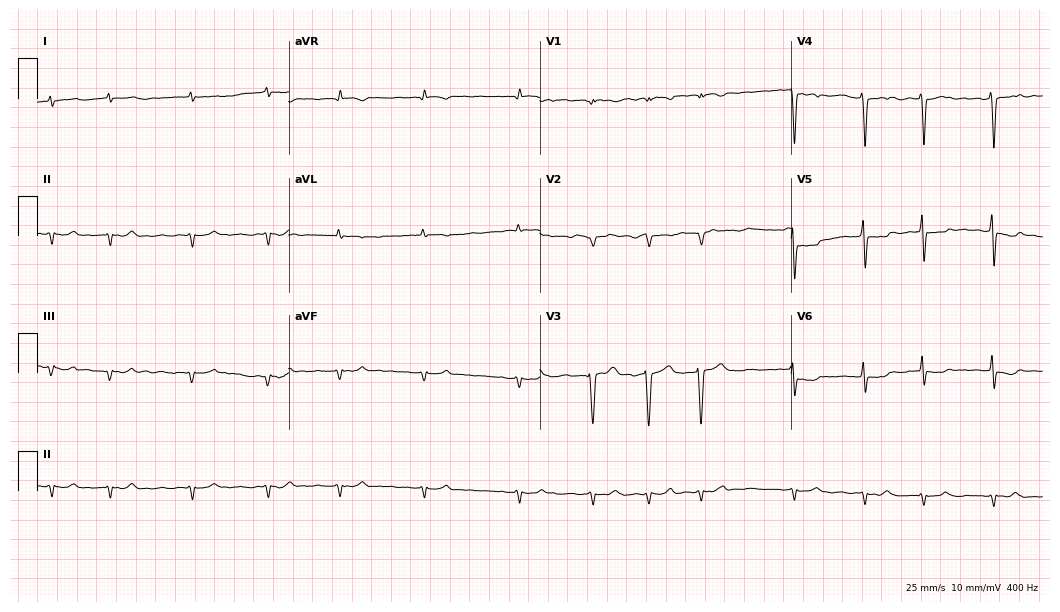
12-lead ECG from a 69-year-old male patient. Findings include atrial fibrillation (AF).